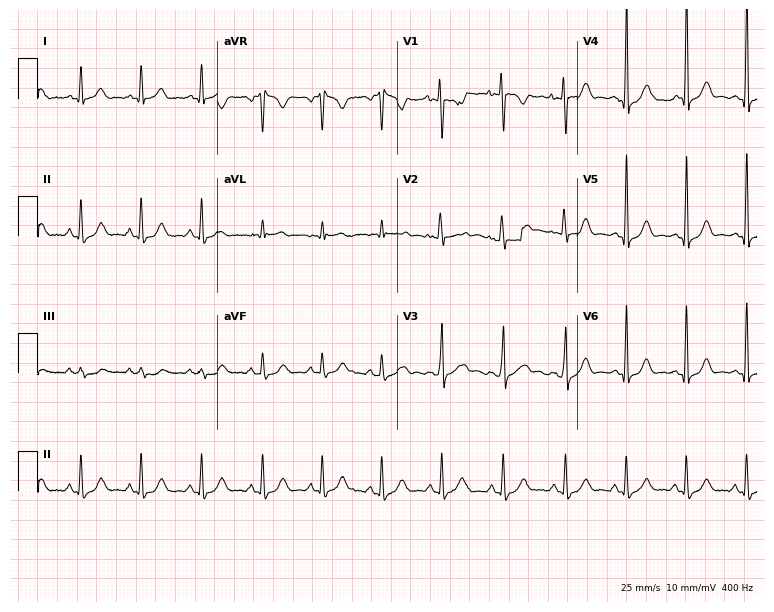
Resting 12-lead electrocardiogram (7.3-second recording at 400 Hz). Patient: a 23-year-old woman. None of these six findings is recorded: first-degree AV block, right bundle branch block (RBBB), left bundle branch block (LBBB), sinus bradycardia, atrial fibrillation (AF), sinus tachycardia. Other findings, if any, are not listed.